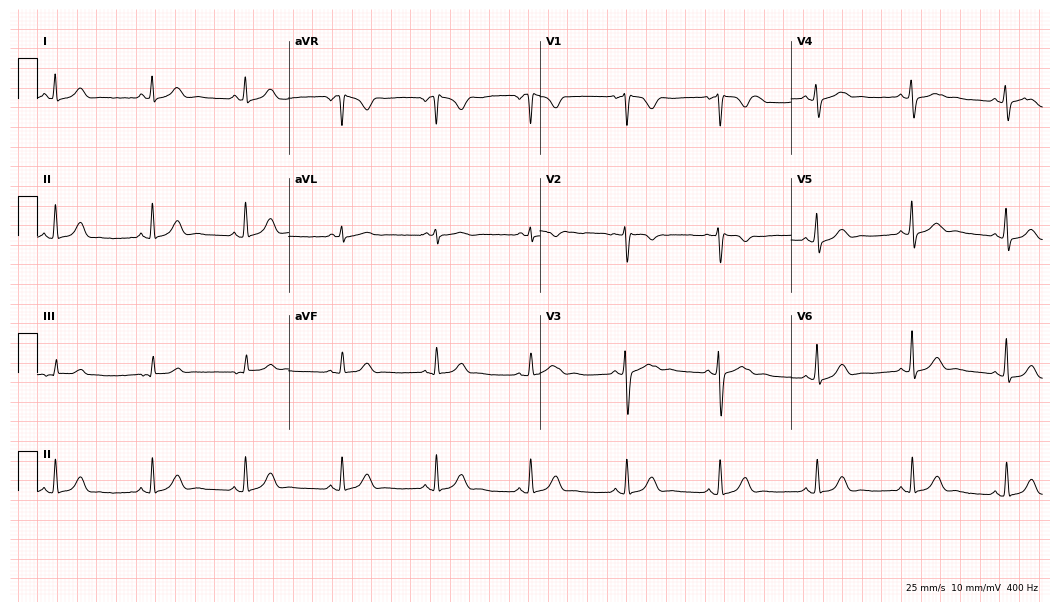
ECG — a female, 35 years old. Labelled as a normal ECG.